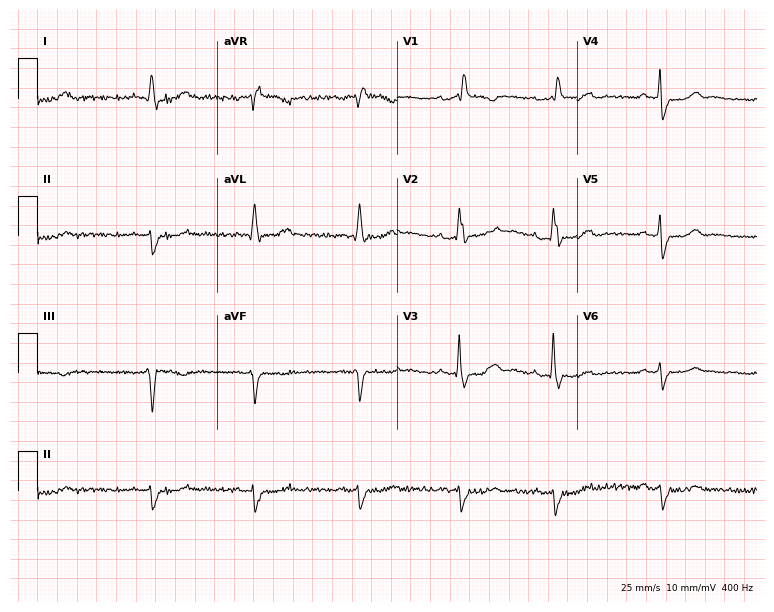
ECG (7.3-second recording at 400 Hz) — a woman, 70 years old. Findings include right bundle branch block (RBBB).